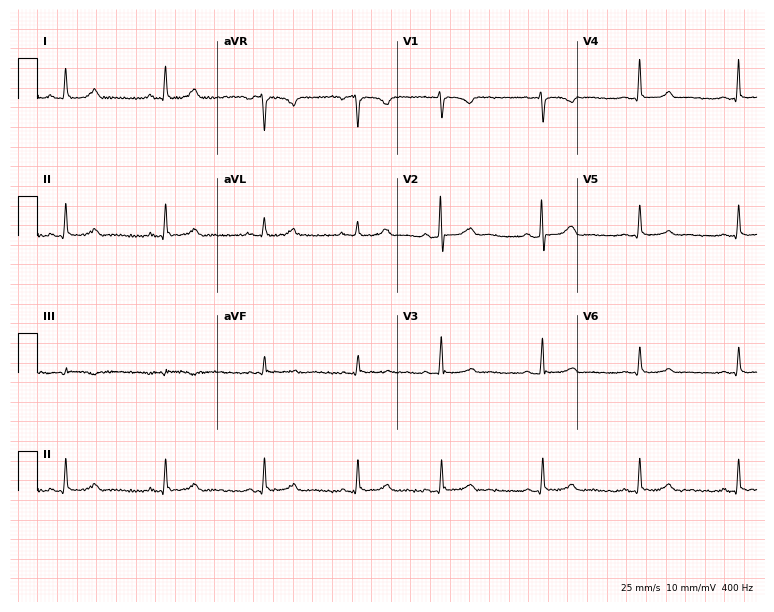
Standard 12-lead ECG recorded from a 45-year-old woman. Read as a normal ECG.